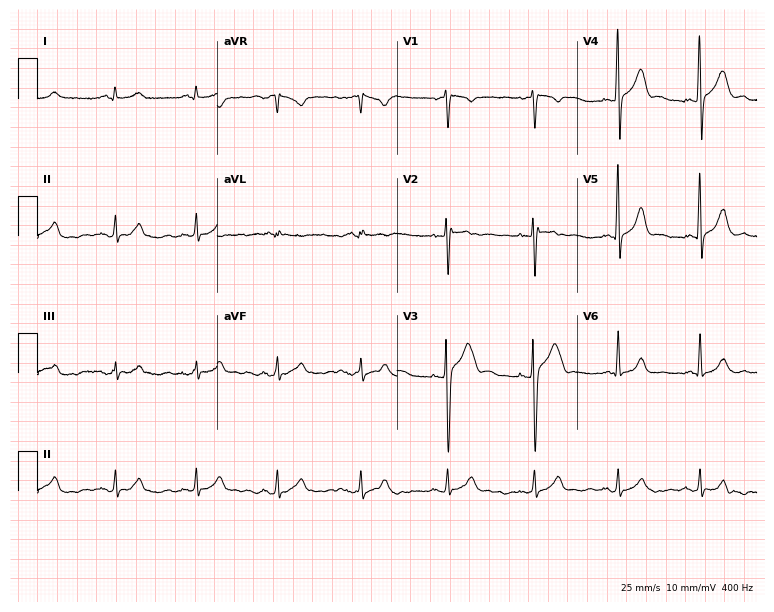
Resting 12-lead electrocardiogram (7.3-second recording at 400 Hz). Patient: a man, 21 years old. None of these six findings is recorded: first-degree AV block, right bundle branch block, left bundle branch block, sinus bradycardia, atrial fibrillation, sinus tachycardia. Other findings, if any, are not listed.